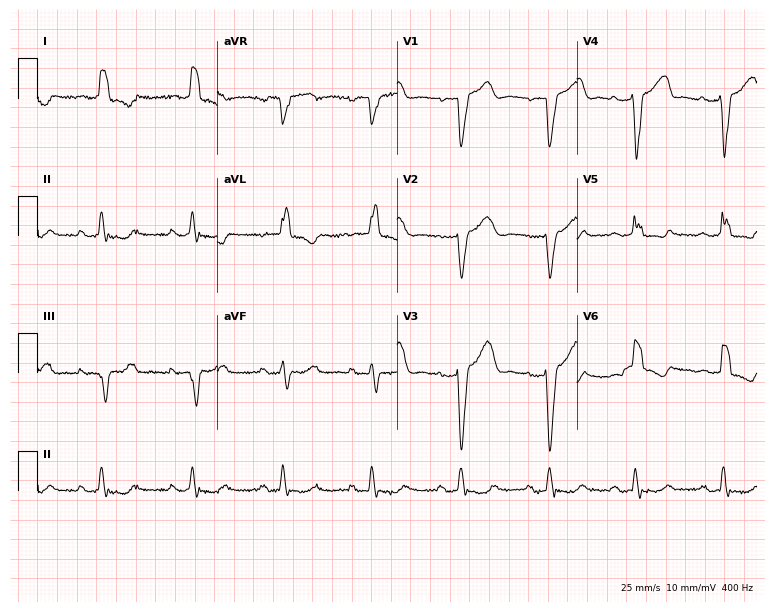
Standard 12-lead ECG recorded from a woman, 72 years old (7.3-second recording at 400 Hz). The tracing shows left bundle branch block.